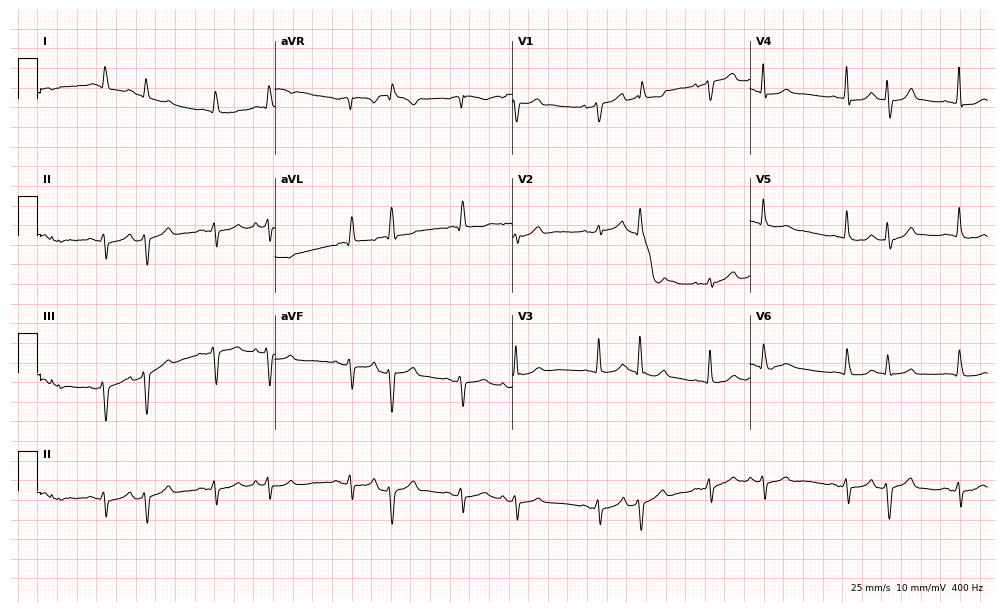
ECG — a female patient, 84 years old. Screened for six findings — first-degree AV block, right bundle branch block (RBBB), left bundle branch block (LBBB), sinus bradycardia, atrial fibrillation (AF), sinus tachycardia — none is recorded. Other findings, if any, are not listed.